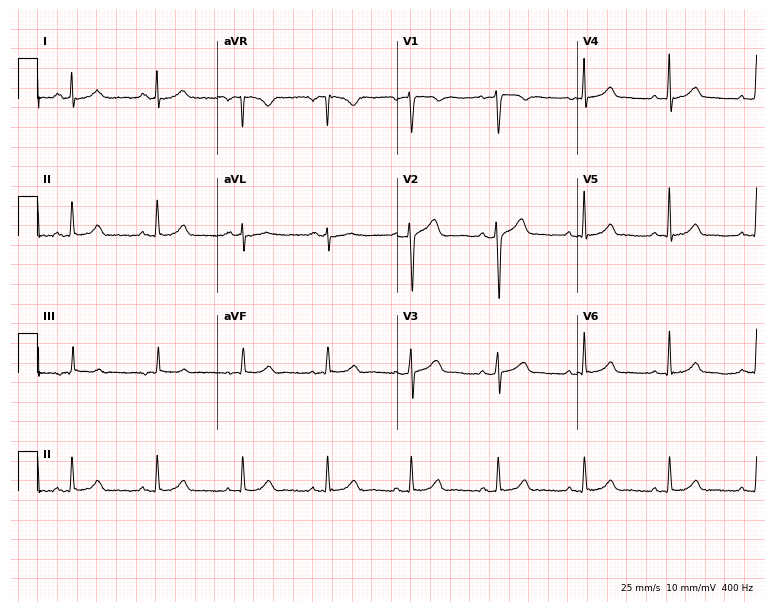
Standard 12-lead ECG recorded from a male patient, 44 years old (7.3-second recording at 400 Hz). Read as a normal ECG.